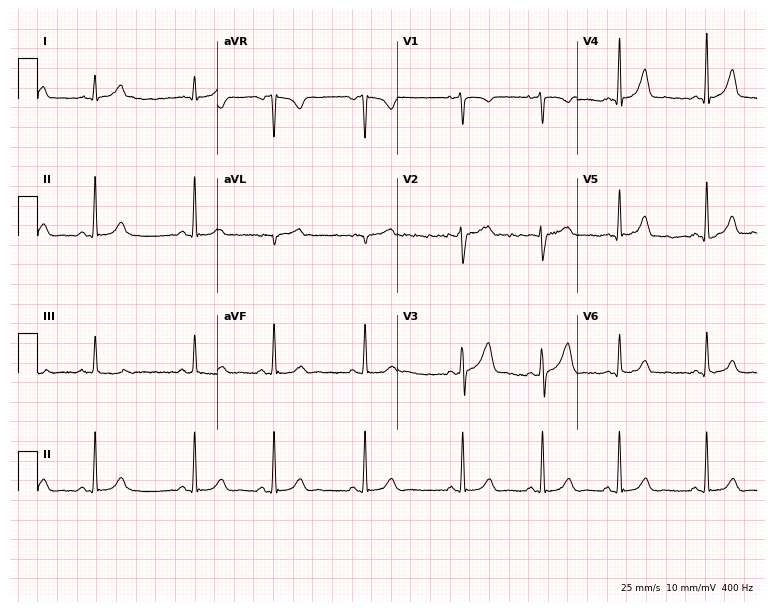
Standard 12-lead ECG recorded from a female patient, 28 years old. Read as a normal ECG.